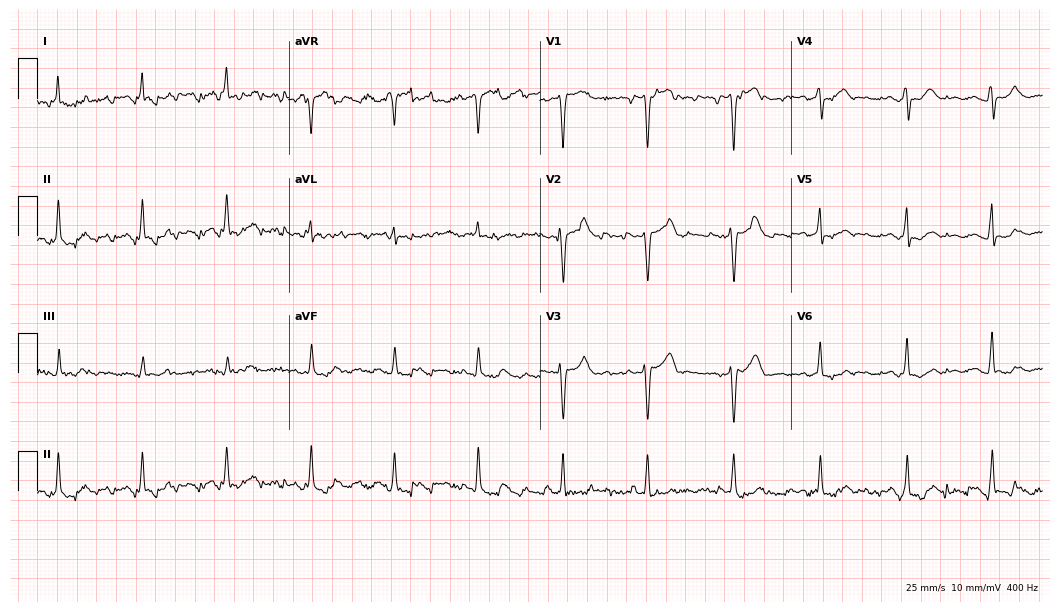
12-lead ECG from a woman, 73 years old (10.2-second recording at 400 Hz). No first-degree AV block, right bundle branch block, left bundle branch block, sinus bradycardia, atrial fibrillation or sinus tachycardia recorded for this tracing.